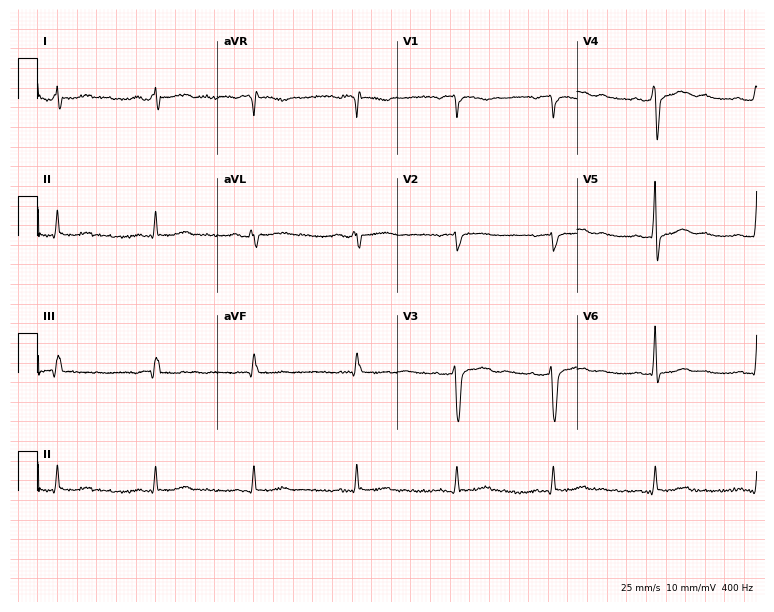
Standard 12-lead ECG recorded from a man, 75 years old (7.3-second recording at 400 Hz). None of these six findings is recorded: first-degree AV block, right bundle branch block, left bundle branch block, sinus bradycardia, atrial fibrillation, sinus tachycardia.